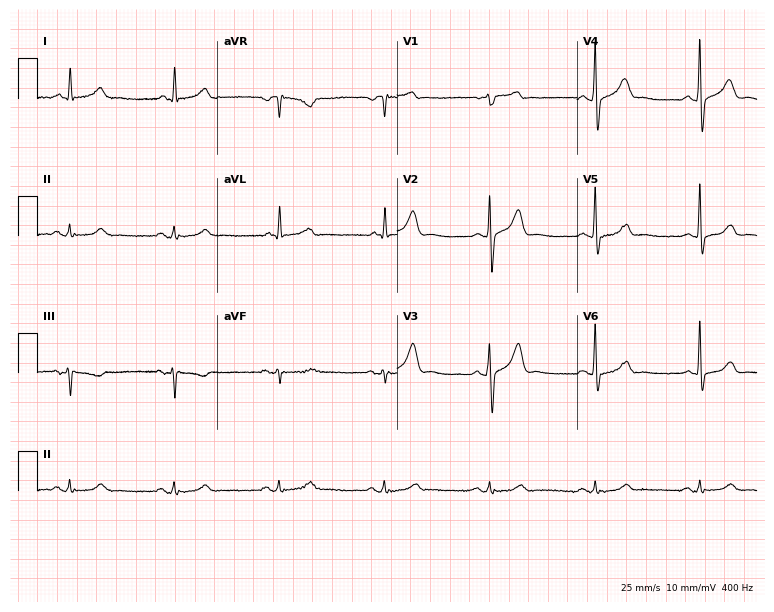
Electrocardiogram (7.3-second recording at 400 Hz), a 64-year-old male patient. Of the six screened findings (first-degree AV block, right bundle branch block, left bundle branch block, sinus bradycardia, atrial fibrillation, sinus tachycardia), none is recorded. Only these six findings were labelled.